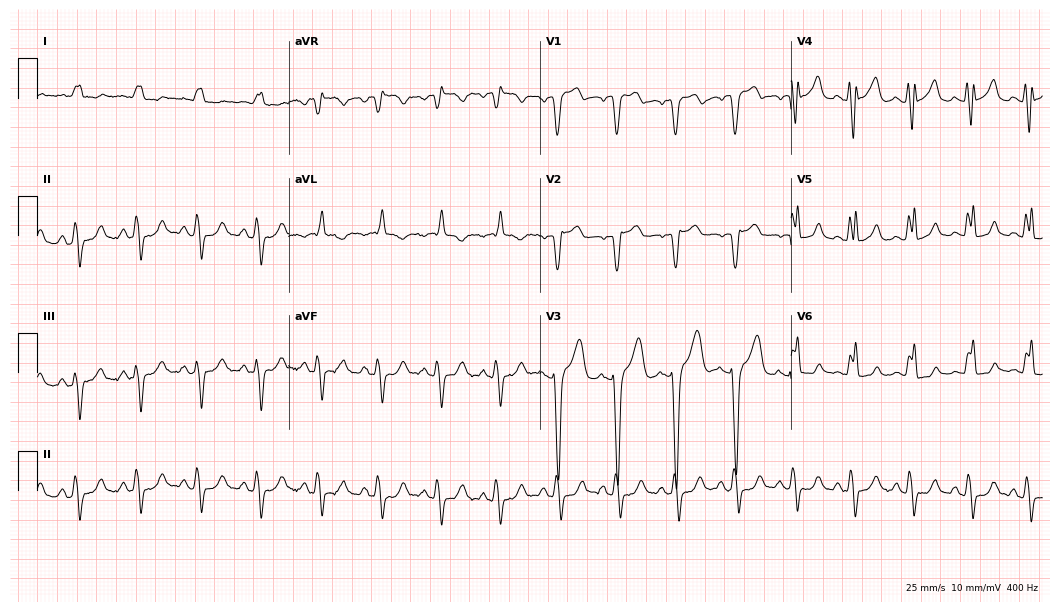
ECG — a female patient, 83 years old. Screened for six findings — first-degree AV block, right bundle branch block, left bundle branch block, sinus bradycardia, atrial fibrillation, sinus tachycardia — none is recorded. Findings outside these six are not listed.